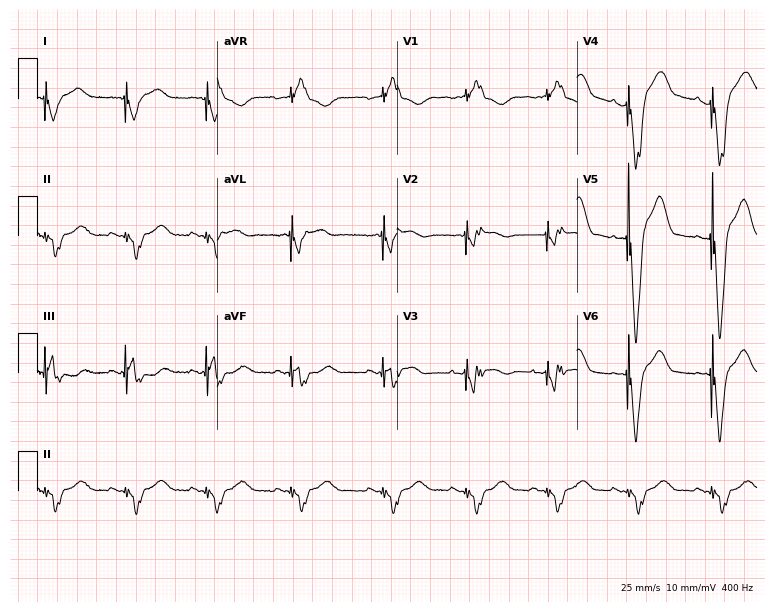
ECG — a 54-year-old man. Screened for six findings — first-degree AV block, right bundle branch block, left bundle branch block, sinus bradycardia, atrial fibrillation, sinus tachycardia — none is recorded.